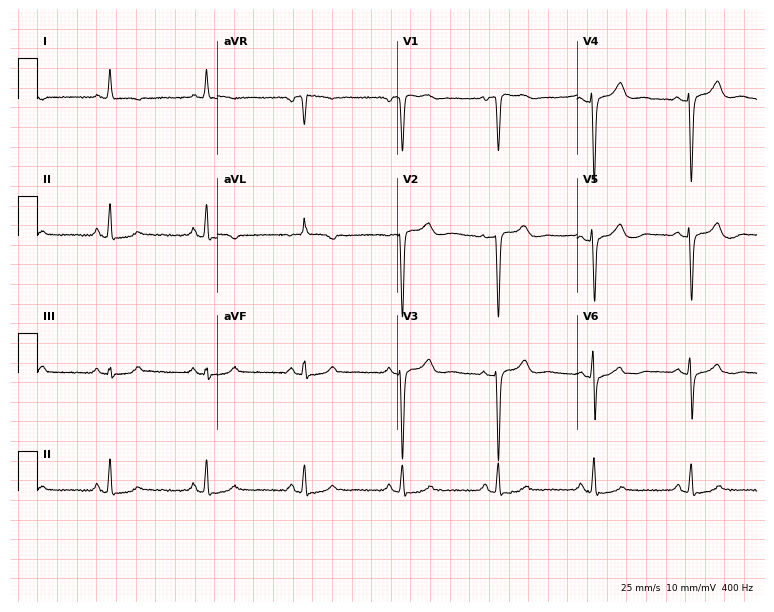
12-lead ECG from a woman, 84 years old. Screened for six findings — first-degree AV block, right bundle branch block, left bundle branch block, sinus bradycardia, atrial fibrillation, sinus tachycardia — none is recorded. Only these six findings were labelled.